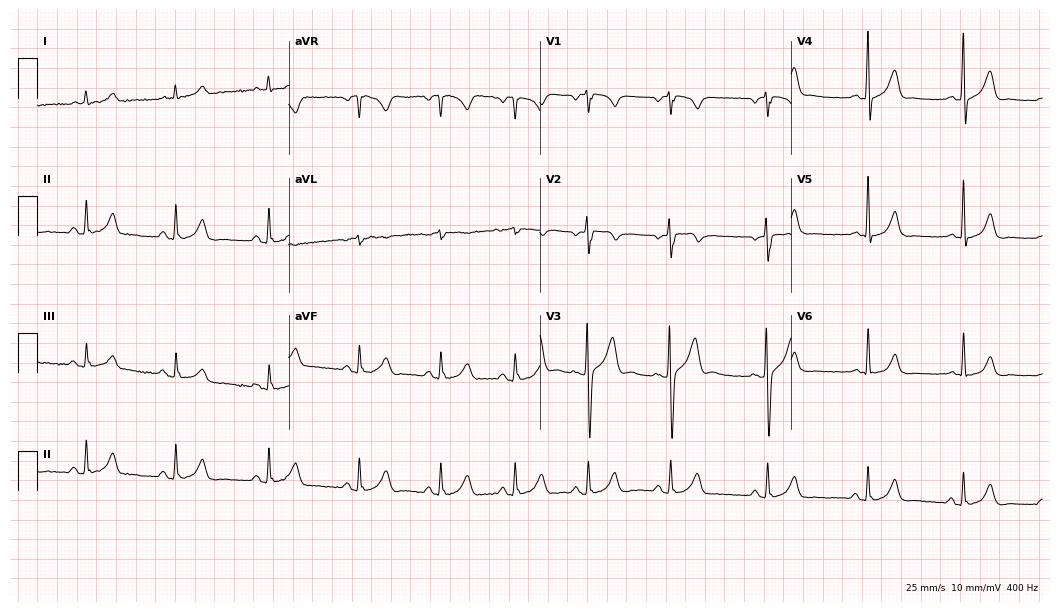
12-lead ECG from a man, 23 years old. Labelled as a normal ECG.